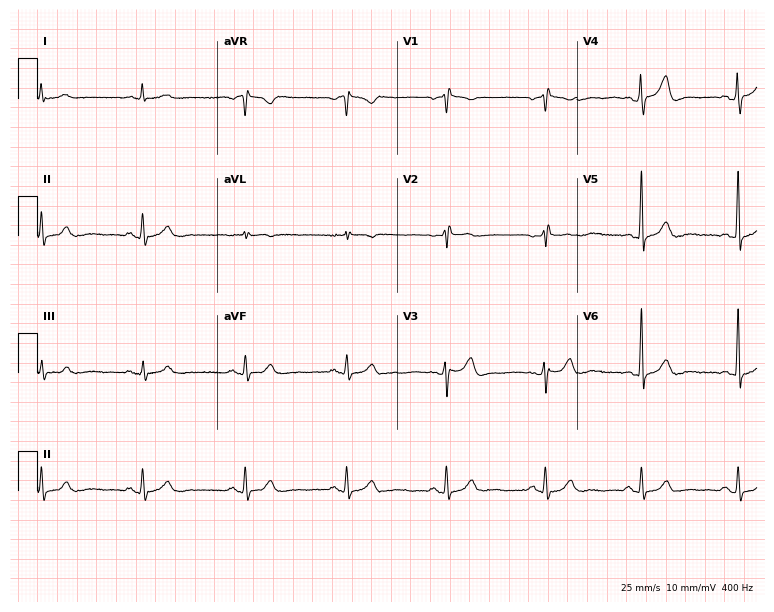
Resting 12-lead electrocardiogram (7.3-second recording at 400 Hz). Patient: a 47-year-old man. None of these six findings is recorded: first-degree AV block, right bundle branch block, left bundle branch block, sinus bradycardia, atrial fibrillation, sinus tachycardia. Other findings, if any, are not listed.